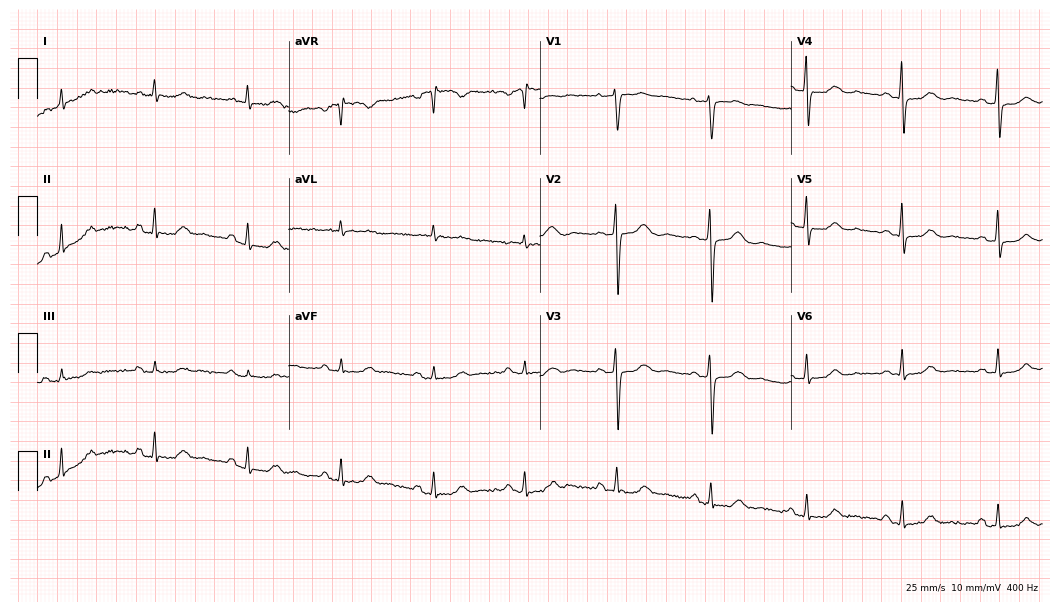
Standard 12-lead ECG recorded from a female patient, 81 years old. Read as a normal ECG.